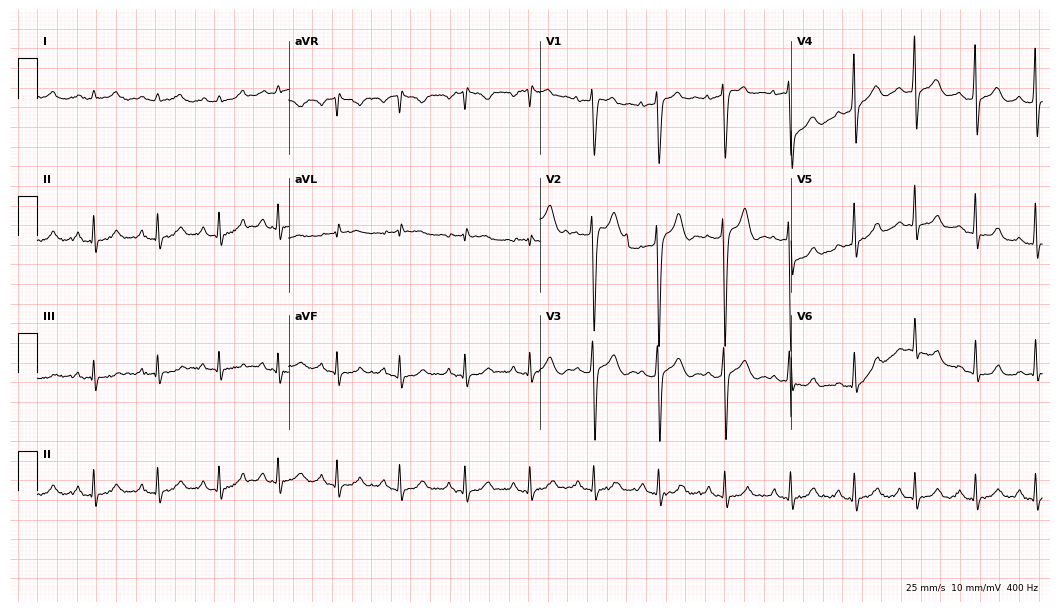
ECG — a man, 37 years old. Labelled as a normal ECG.